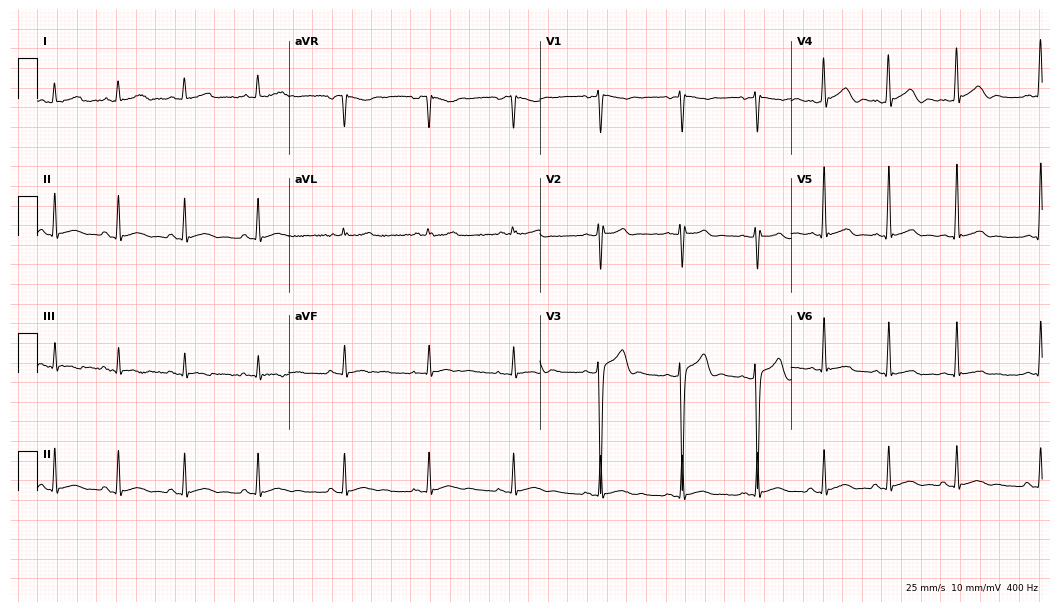
ECG (10.2-second recording at 400 Hz) — a male, 19 years old. Labelled as a normal ECG.